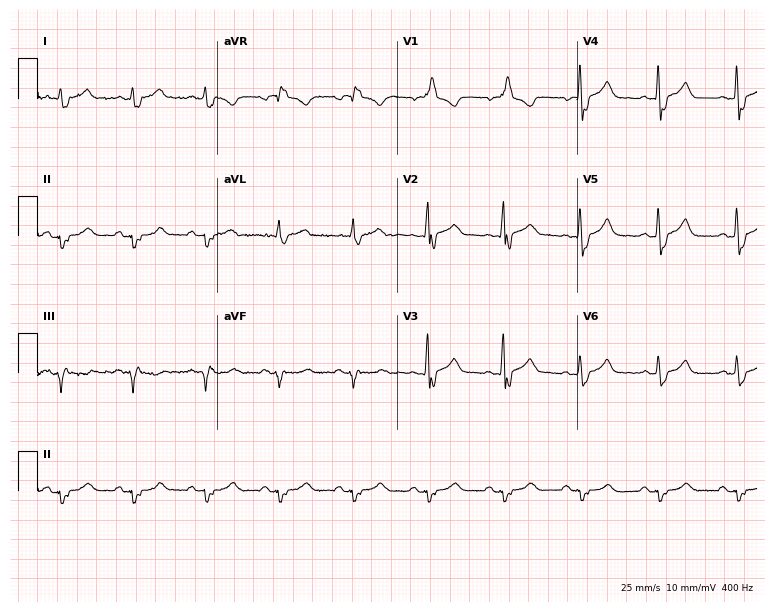
12-lead ECG from a 67-year-old male patient. Findings include right bundle branch block (RBBB).